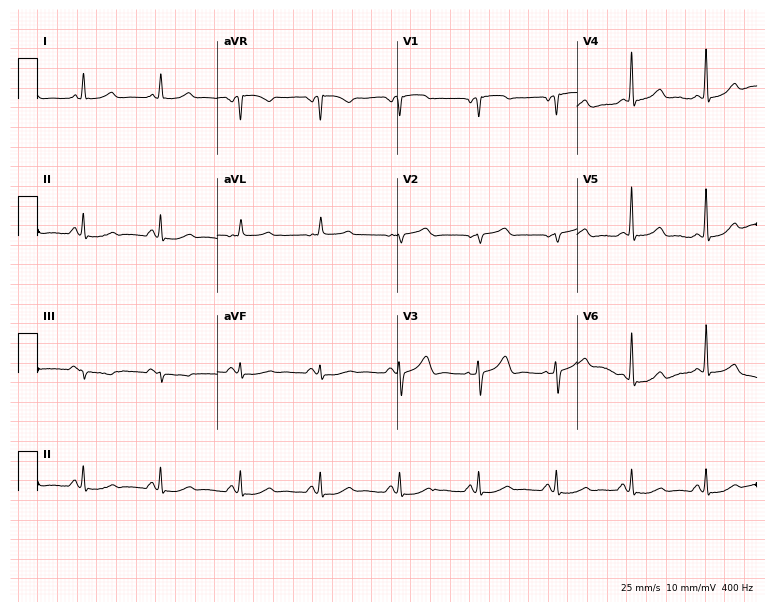
ECG (7.3-second recording at 400 Hz) — a 57-year-old woman. Screened for six findings — first-degree AV block, right bundle branch block, left bundle branch block, sinus bradycardia, atrial fibrillation, sinus tachycardia — none is recorded.